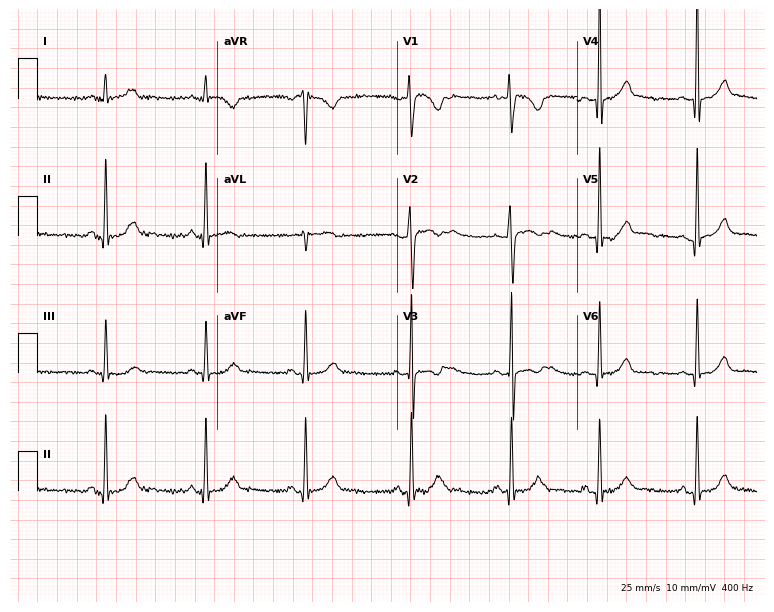
Standard 12-lead ECG recorded from a female, 23 years old (7.3-second recording at 400 Hz). Read as a normal ECG.